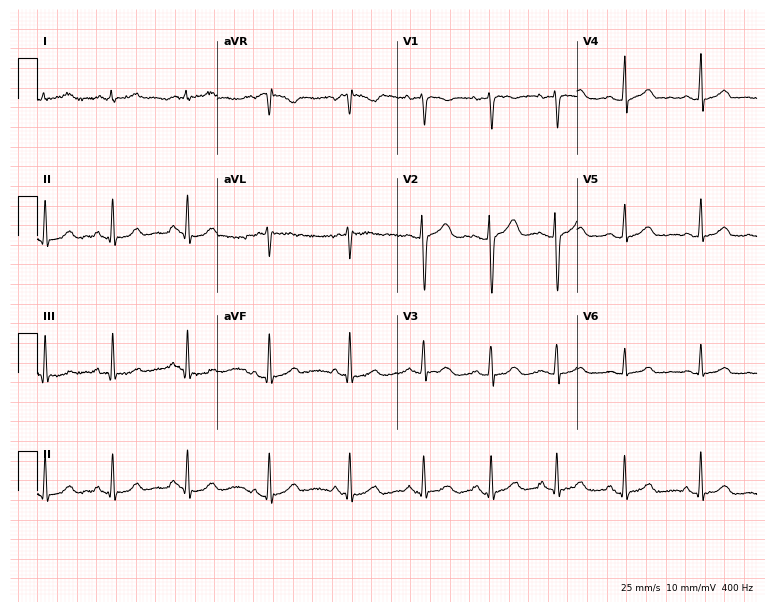
12-lead ECG from a woman, 27 years old (7.3-second recording at 400 Hz). Recorded interpretation: within normal limits.